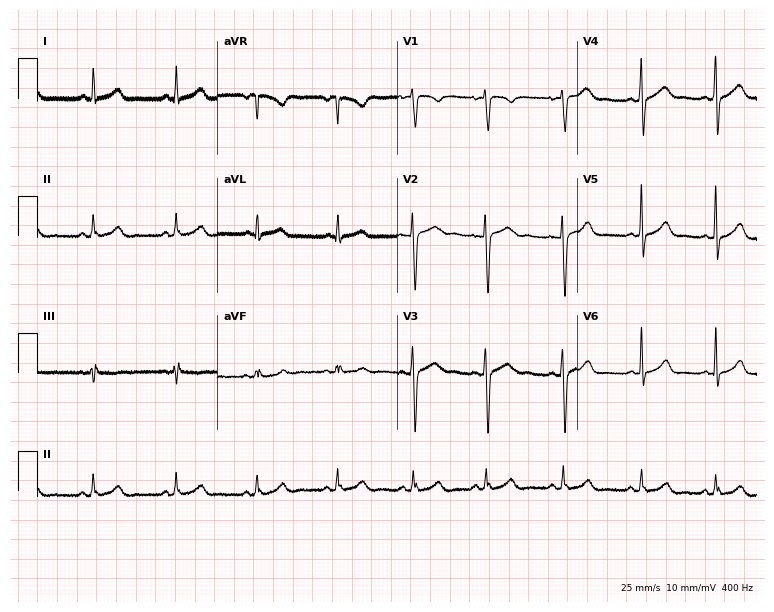
12-lead ECG (7.3-second recording at 400 Hz) from a female, 18 years old. Labelled as a normal ECG.